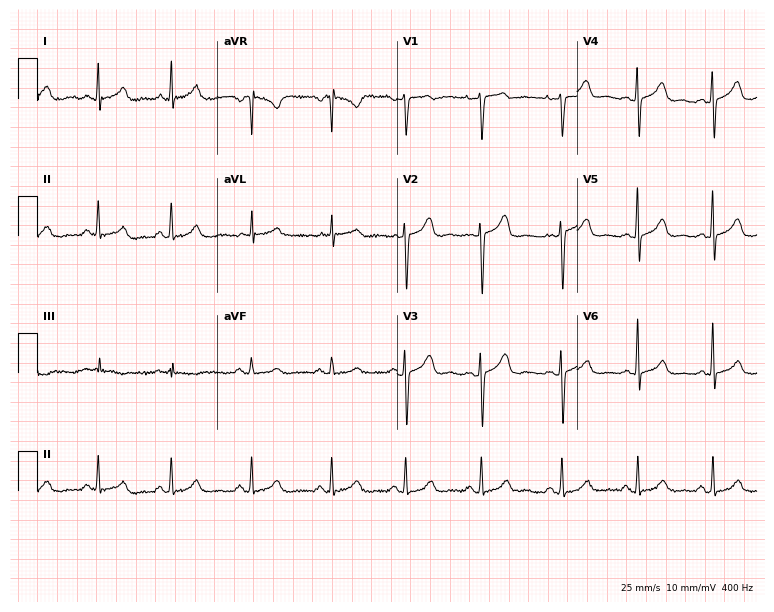
ECG (7.3-second recording at 400 Hz) — a female patient, 35 years old. Labelled as a normal ECG.